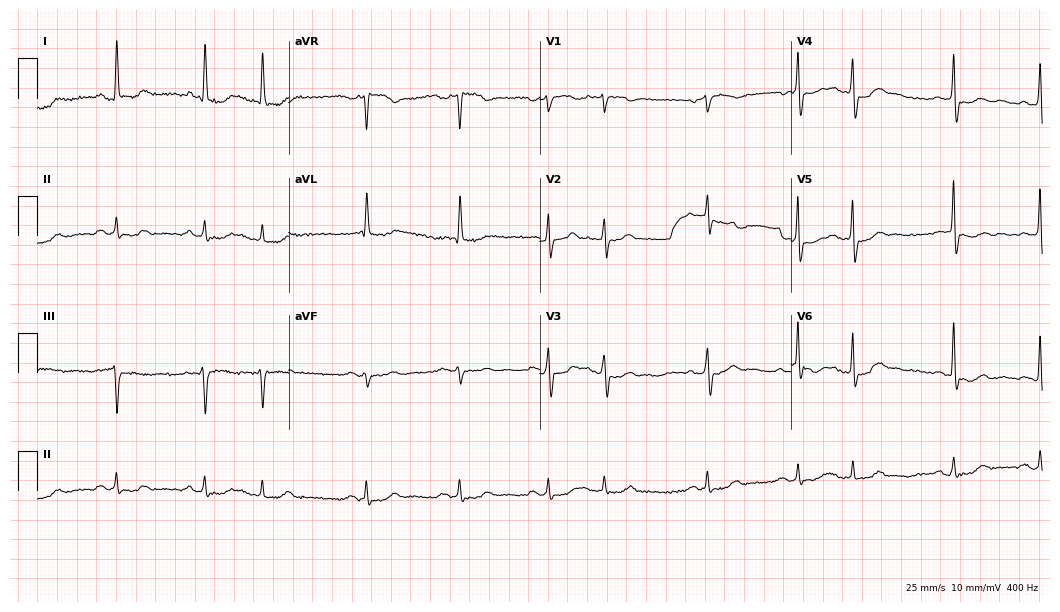
ECG (10.2-second recording at 400 Hz) — a 75-year-old man. Screened for six findings — first-degree AV block, right bundle branch block (RBBB), left bundle branch block (LBBB), sinus bradycardia, atrial fibrillation (AF), sinus tachycardia — none is recorded.